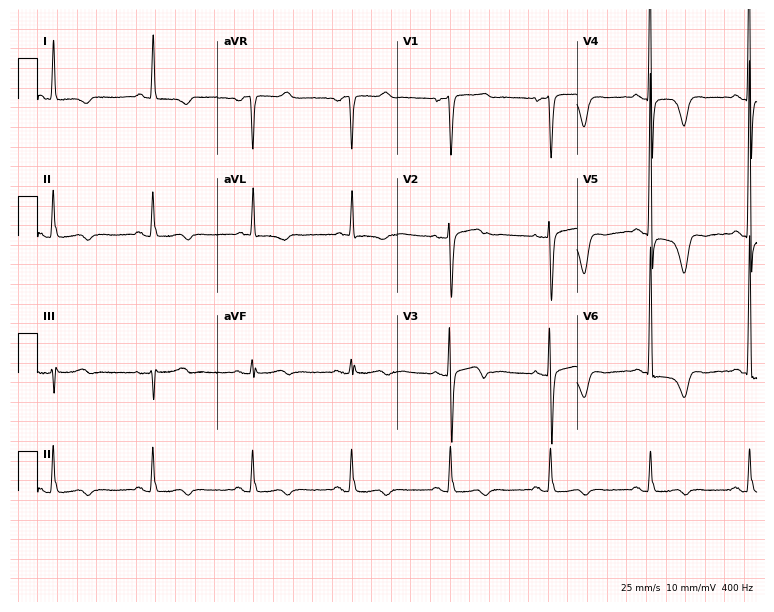
ECG — a female, 65 years old. Screened for six findings — first-degree AV block, right bundle branch block, left bundle branch block, sinus bradycardia, atrial fibrillation, sinus tachycardia — none is recorded. Findings outside these six are not listed.